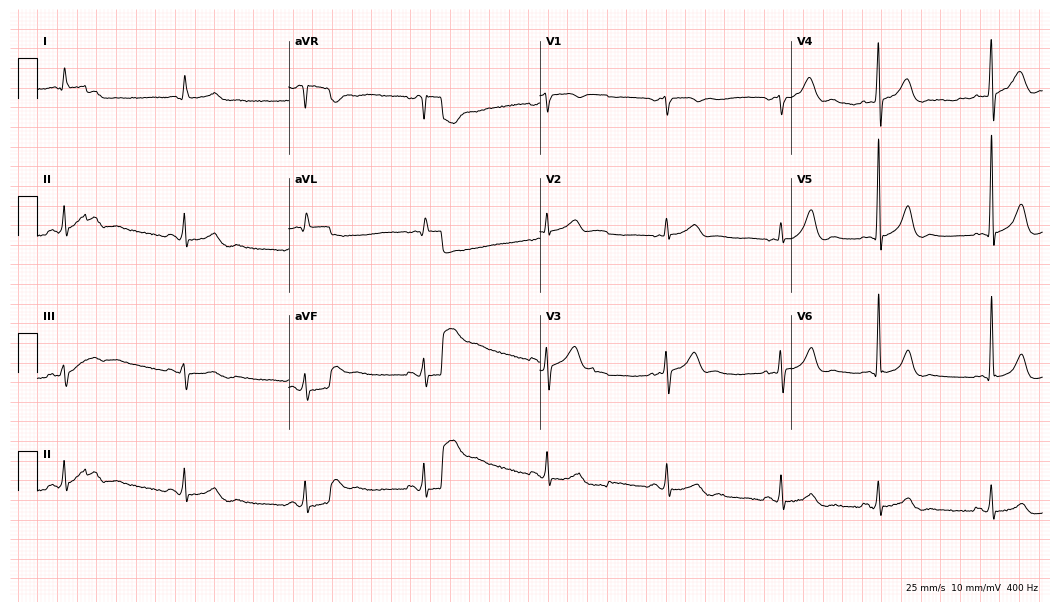
Standard 12-lead ECG recorded from a male patient, 62 years old (10.2-second recording at 400 Hz). None of these six findings is recorded: first-degree AV block, right bundle branch block (RBBB), left bundle branch block (LBBB), sinus bradycardia, atrial fibrillation (AF), sinus tachycardia. Only these six findings were labelled.